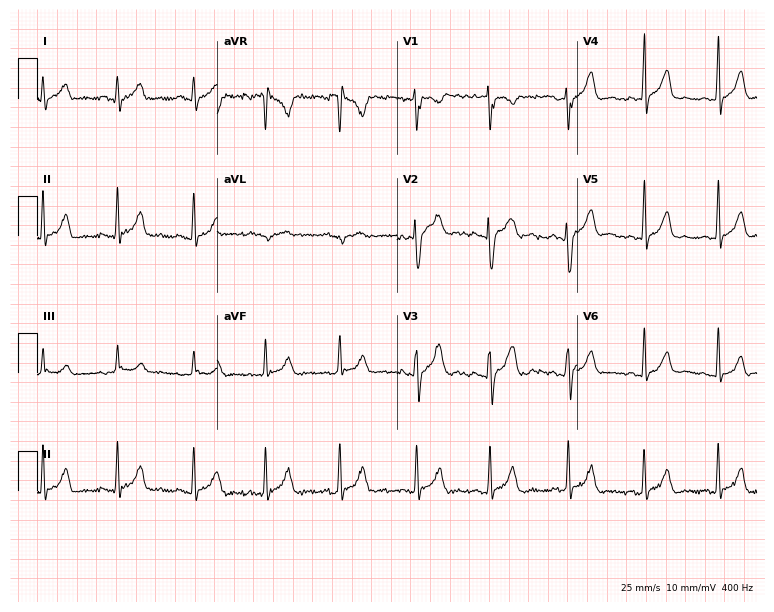
ECG — a female, 18 years old. Screened for six findings — first-degree AV block, right bundle branch block (RBBB), left bundle branch block (LBBB), sinus bradycardia, atrial fibrillation (AF), sinus tachycardia — none is recorded.